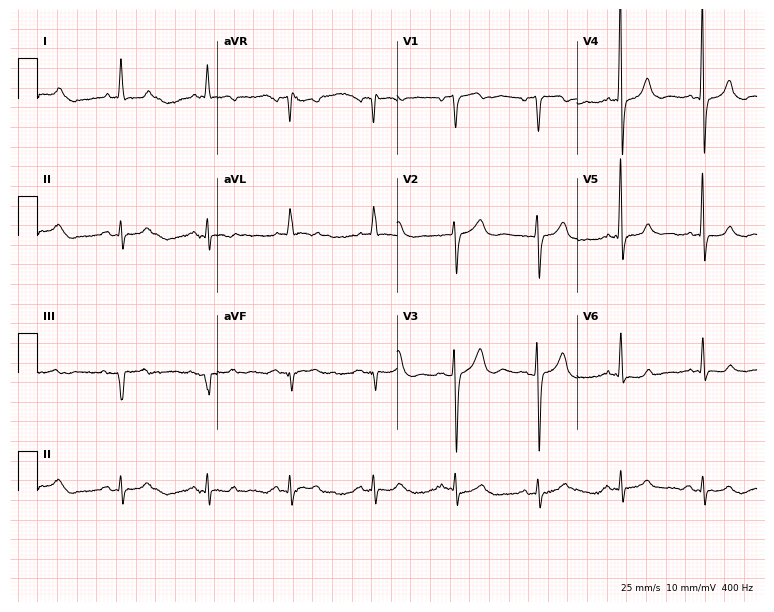
Standard 12-lead ECG recorded from a 73-year-old male. None of these six findings is recorded: first-degree AV block, right bundle branch block, left bundle branch block, sinus bradycardia, atrial fibrillation, sinus tachycardia.